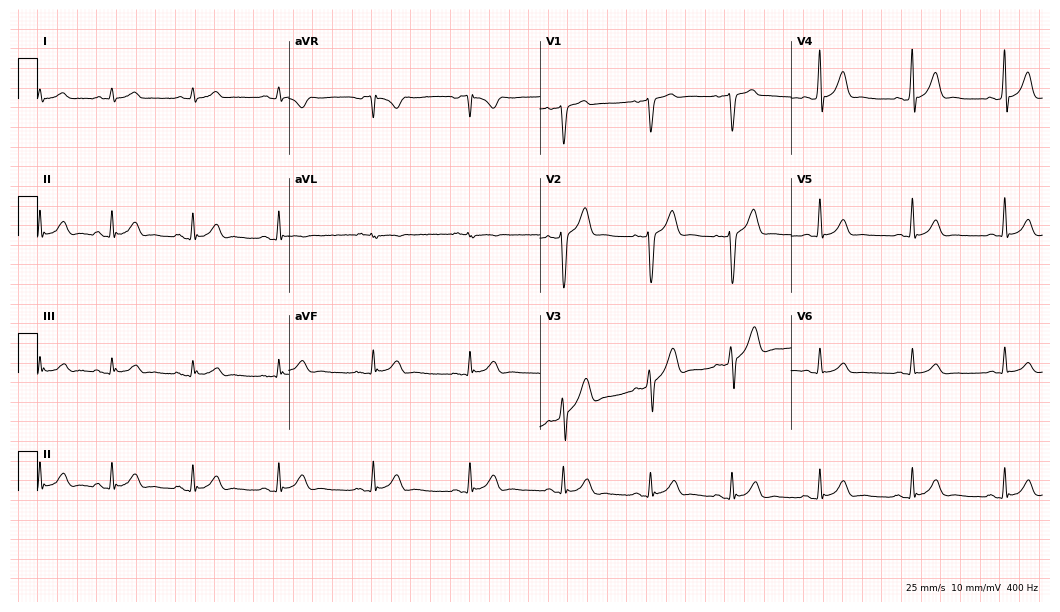
Resting 12-lead electrocardiogram. Patient: a 25-year-old man. Read as a normal ECG.